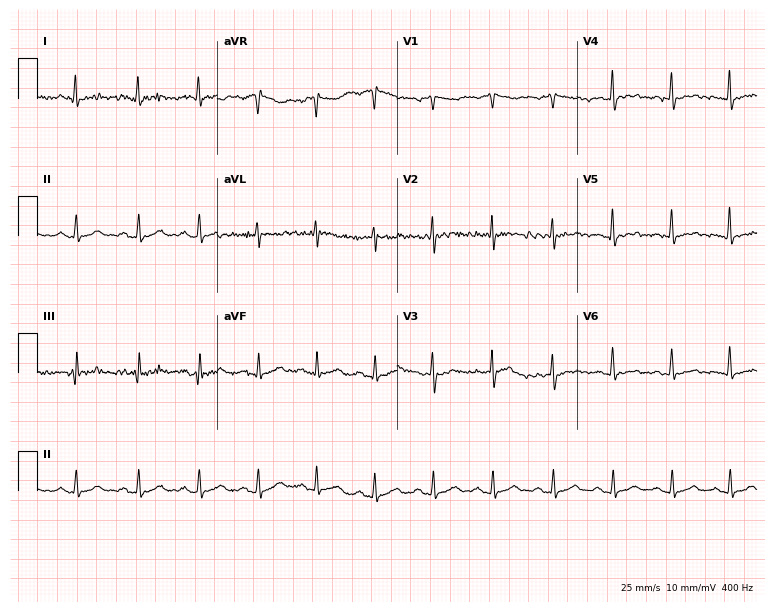
12-lead ECG from a male, 43 years old. Screened for six findings — first-degree AV block, right bundle branch block (RBBB), left bundle branch block (LBBB), sinus bradycardia, atrial fibrillation (AF), sinus tachycardia — none is recorded. Other findings, if any, are not listed.